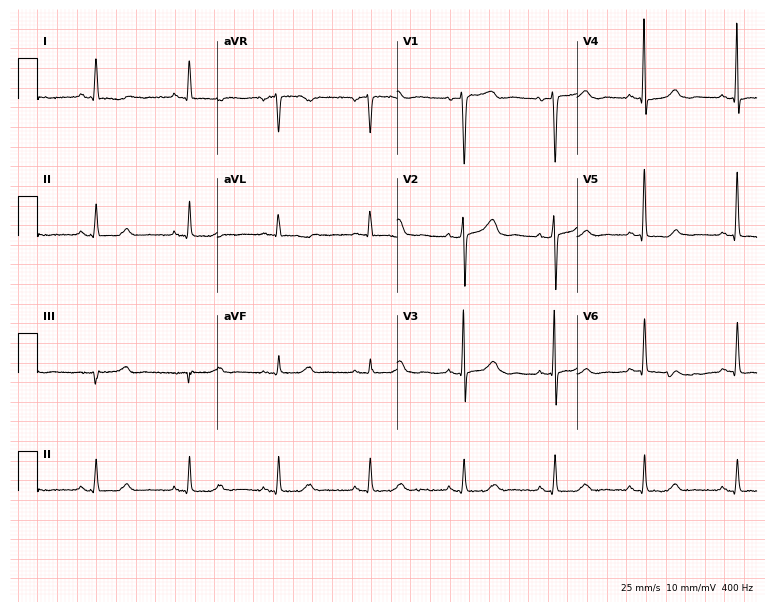
12-lead ECG from a 77-year-old female patient (7.3-second recording at 400 Hz). No first-degree AV block, right bundle branch block, left bundle branch block, sinus bradycardia, atrial fibrillation or sinus tachycardia recorded for this tracing. Only these six findings were labelled.